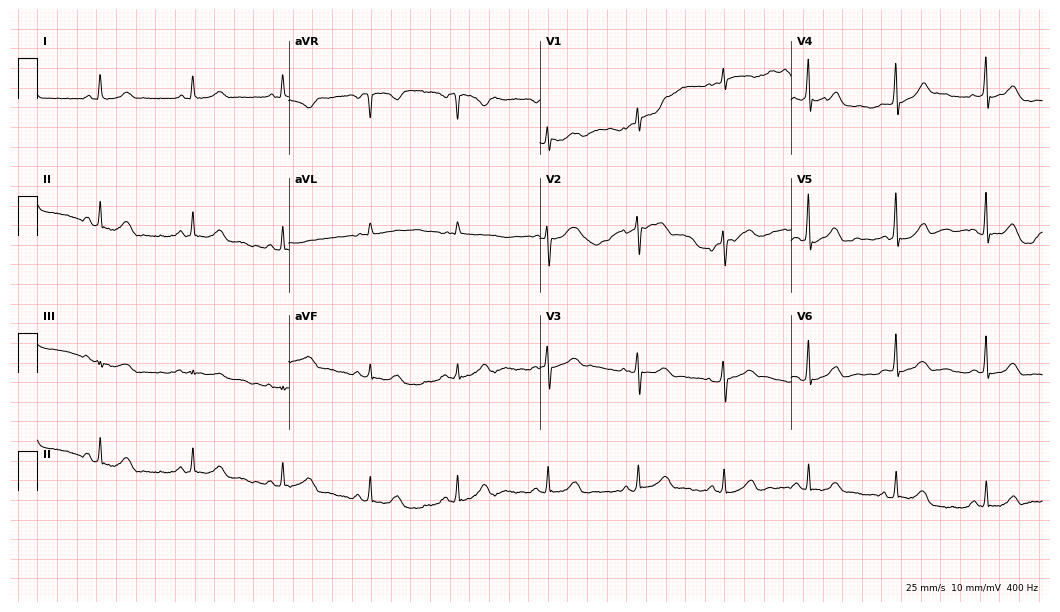
12-lead ECG (10.2-second recording at 400 Hz) from a 47-year-old female patient. Screened for six findings — first-degree AV block, right bundle branch block (RBBB), left bundle branch block (LBBB), sinus bradycardia, atrial fibrillation (AF), sinus tachycardia — none is recorded.